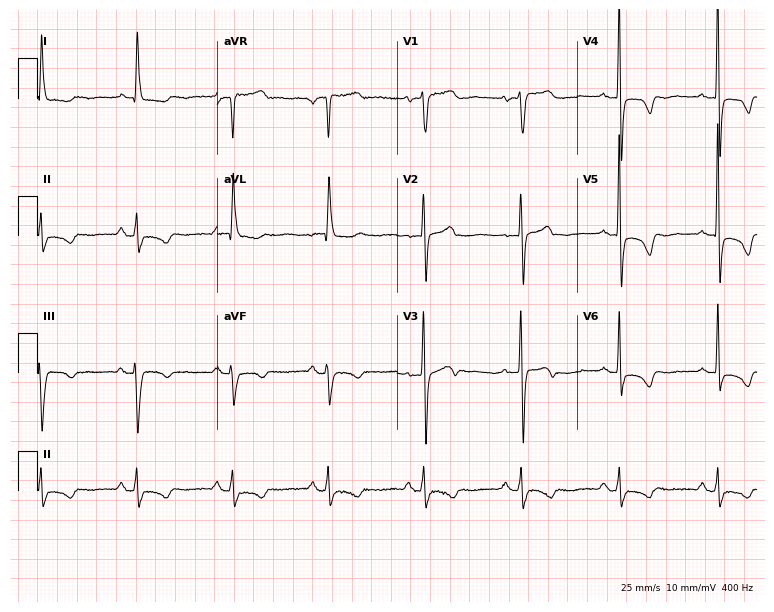
Resting 12-lead electrocardiogram. Patient: an 81-year-old female. None of these six findings is recorded: first-degree AV block, right bundle branch block, left bundle branch block, sinus bradycardia, atrial fibrillation, sinus tachycardia.